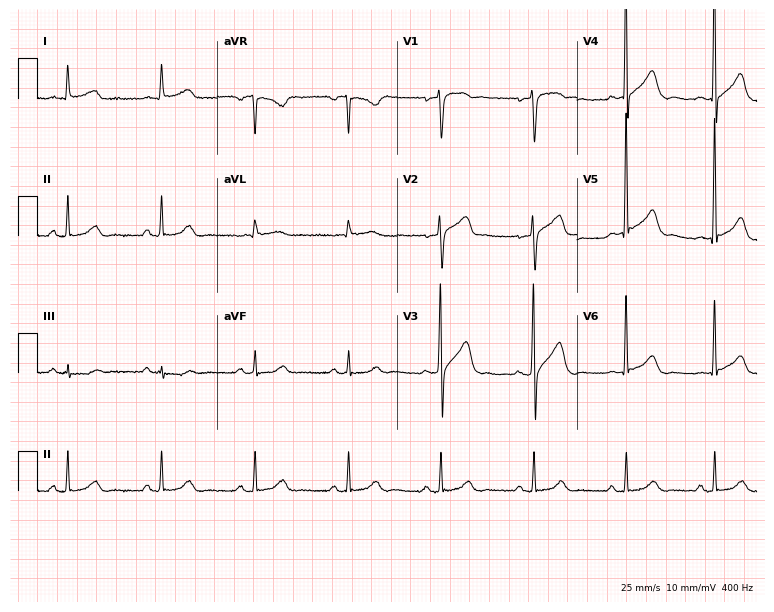
Standard 12-lead ECG recorded from a 60-year-old man. Read as a normal ECG.